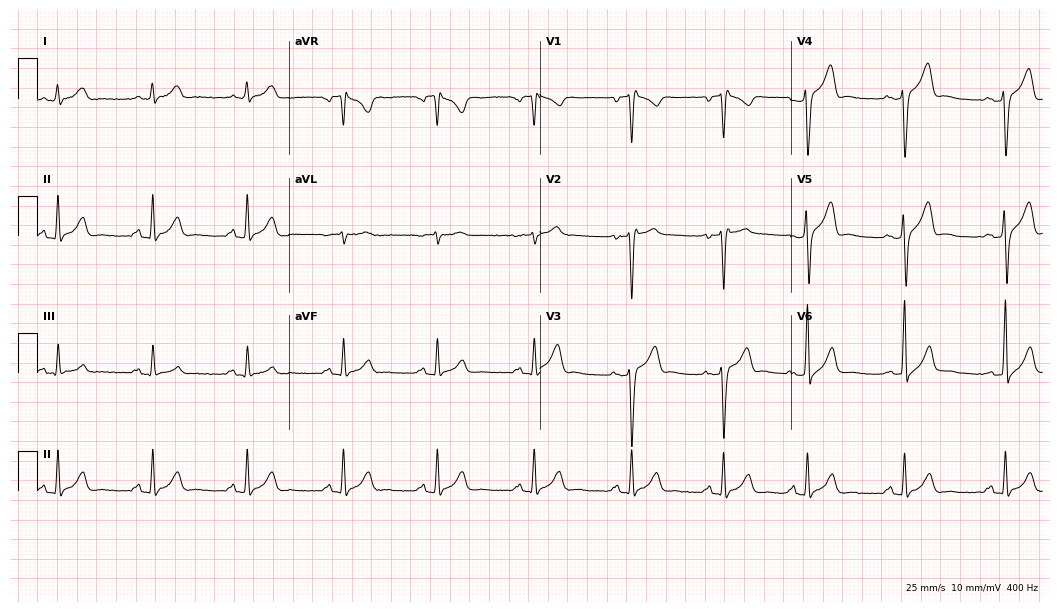
Resting 12-lead electrocardiogram. Patient: a 23-year-old male. None of these six findings is recorded: first-degree AV block, right bundle branch block, left bundle branch block, sinus bradycardia, atrial fibrillation, sinus tachycardia.